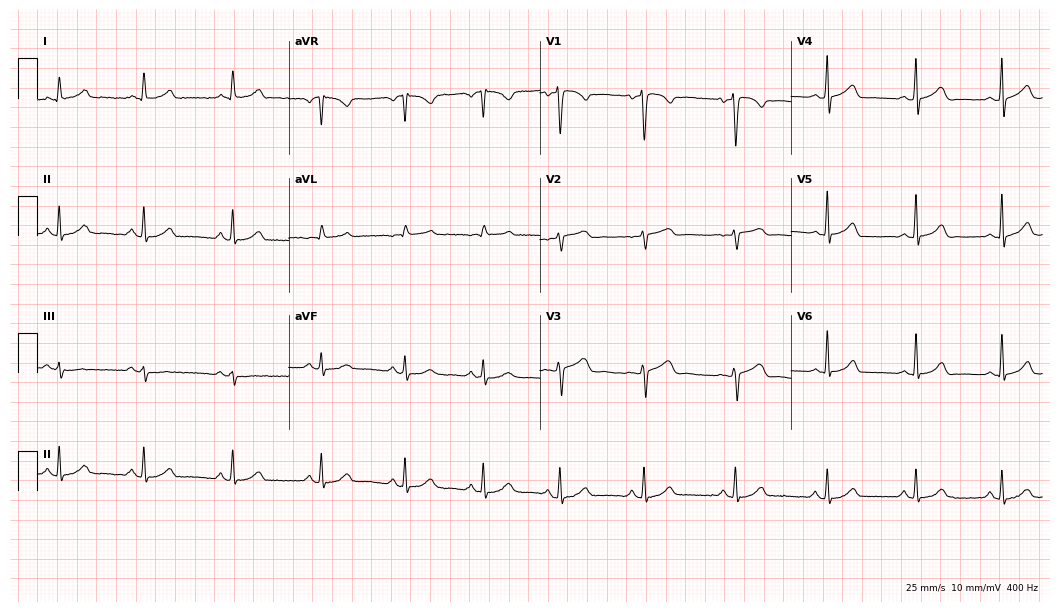
Resting 12-lead electrocardiogram. Patient: a 39-year-old female. Read as a normal ECG.